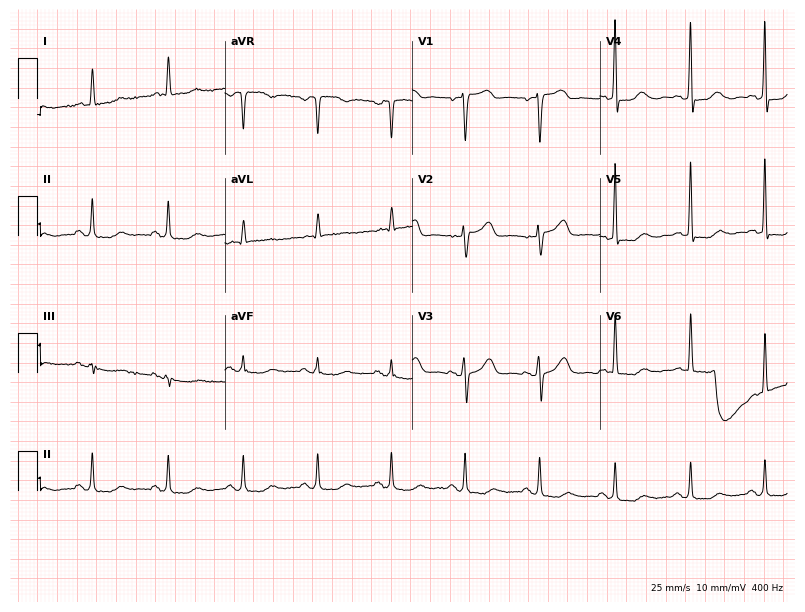
12-lead ECG from a female patient, 79 years old. Labelled as a normal ECG.